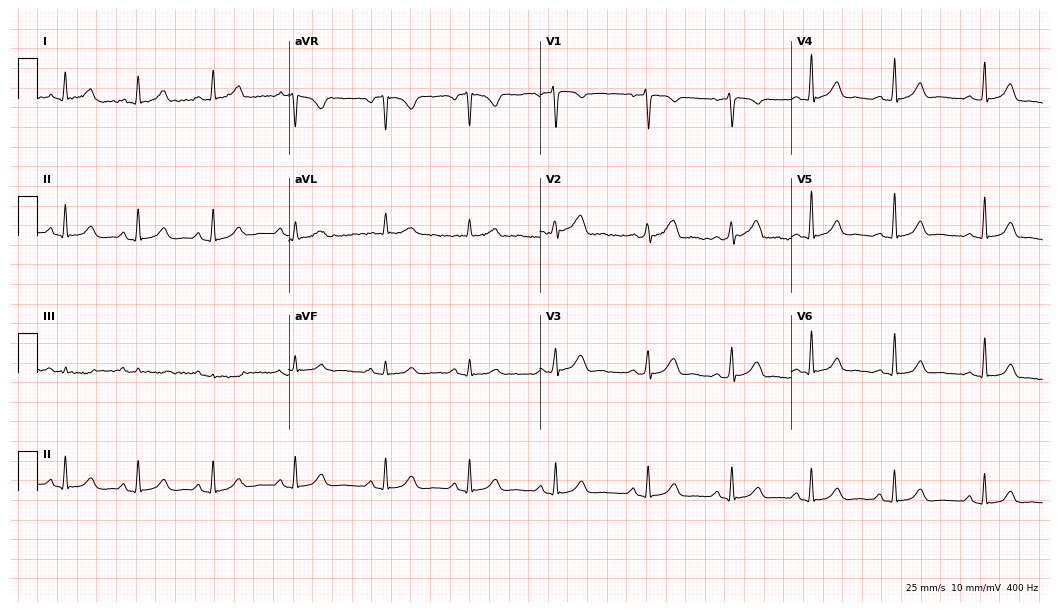
Standard 12-lead ECG recorded from a female patient, 33 years old (10.2-second recording at 400 Hz). None of these six findings is recorded: first-degree AV block, right bundle branch block (RBBB), left bundle branch block (LBBB), sinus bradycardia, atrial fibrillation (AF), sinus tachycardia. Findings outside these six are not listed.